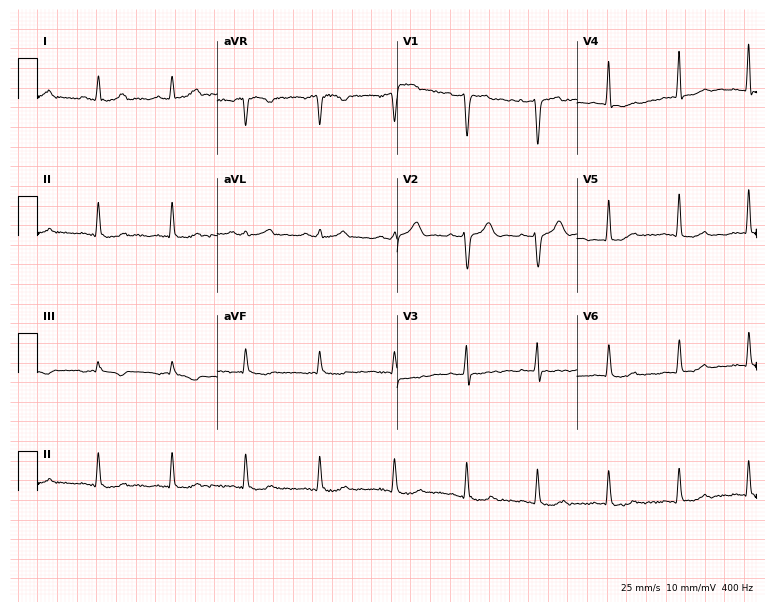
Resting 12-lead electrocardiogram (7.3-second recording at 400 Hz). Patient: a 52-year-old female. None of these six findings is recorded: first-degree AV block, right bundle branch block, left bundle branch block, sinus bradycardia, atrial fibrillation, sinus tachycardia.